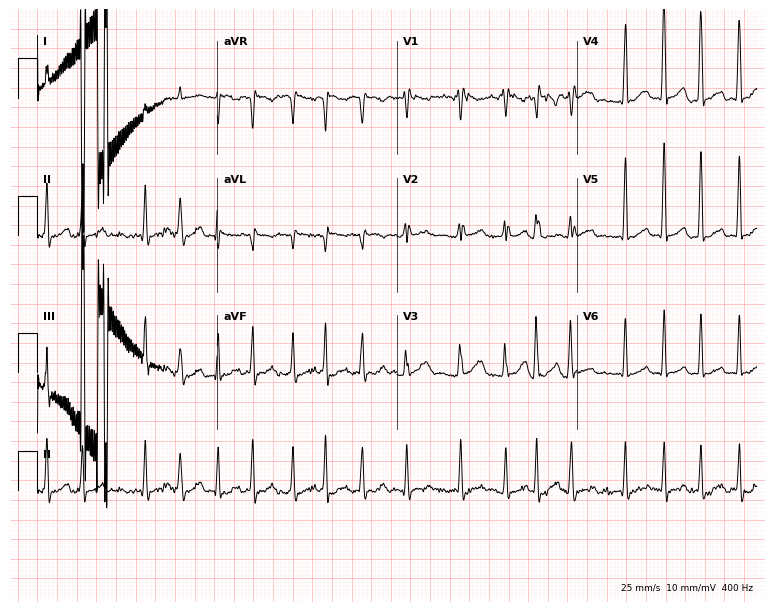
12-lead ECG from a woman, 59 years old. Screened for six findings — first-degree AV block, right bundle branch block, left bundle branch block, sinus bradycardia, atrial fibrillation, sinus tachycardia — none is recorded.